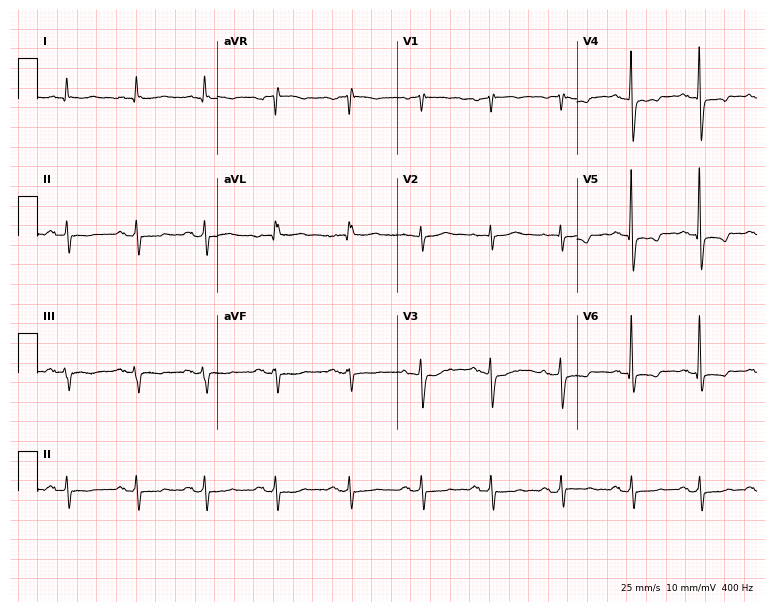
Resting 12-lead electrocardiogram (7.3-second recording at 400 Hz). Patient: a male, 81 years old. None of these six findings is recorded: first-degree AV block, right bundle branch block (RBBB), left bundle branch block (LBBB), sinus bradycardia, atrial fibrillation (AF), sinus tachycardia. Only these six findings were labelled.